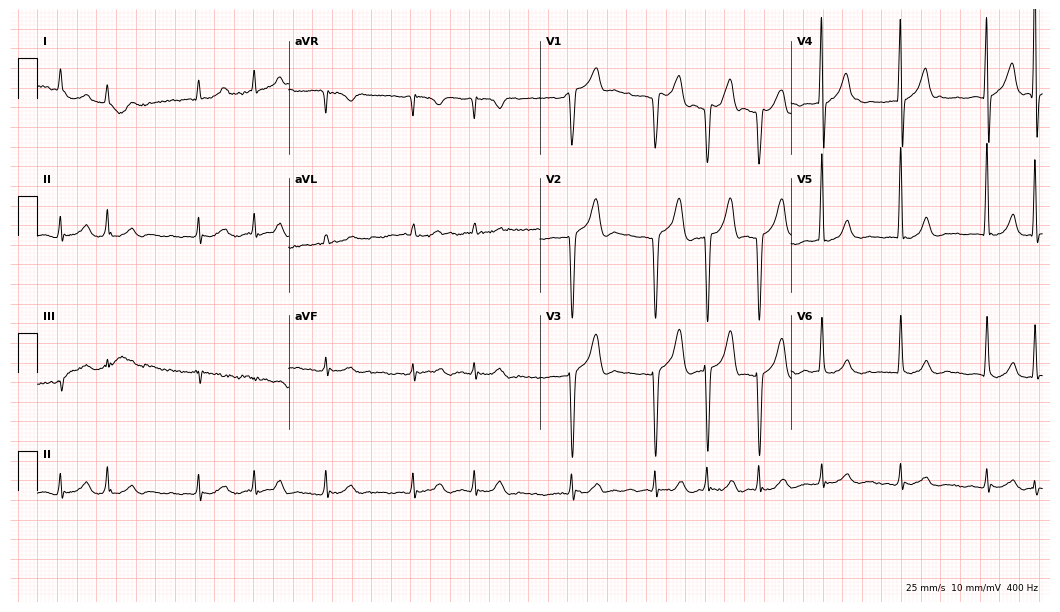
Resting 12-lead electrocardiogram (10.2-second recording at 400 Hz). Patient: an 84-year-old male. None of these six findings is recorded: first-degree AV block, right bundle branch block, left bundle branch block, sinus bradycardia, atrial fibrillation, sinus tachycardia. Only these six findings were labelled.